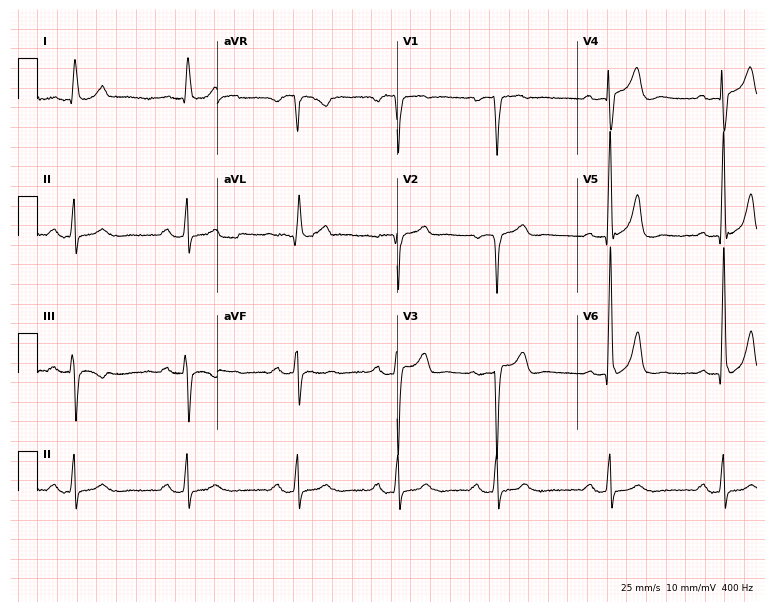
12-lead ECG from a 73-year-old male. Labelled as a normal ECG.